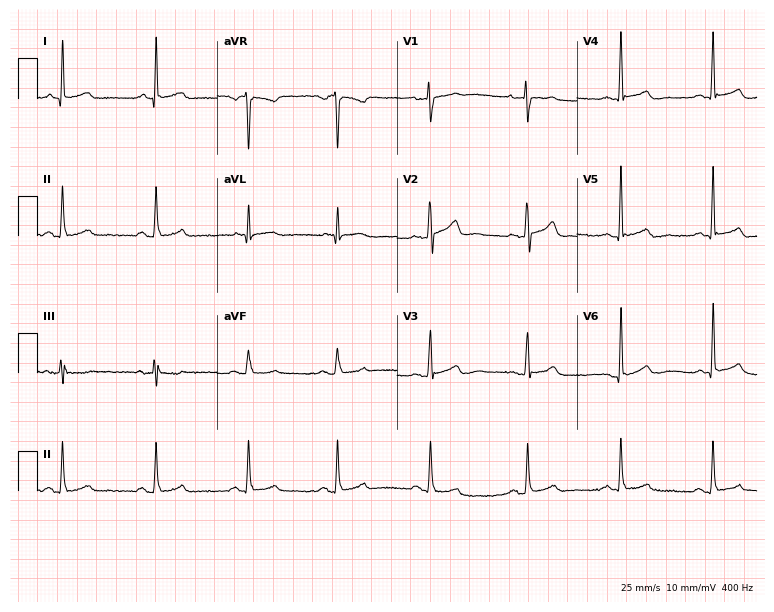
Electrocardiogram, a woman, 47 years old. Overall reading on record: normal ECG.